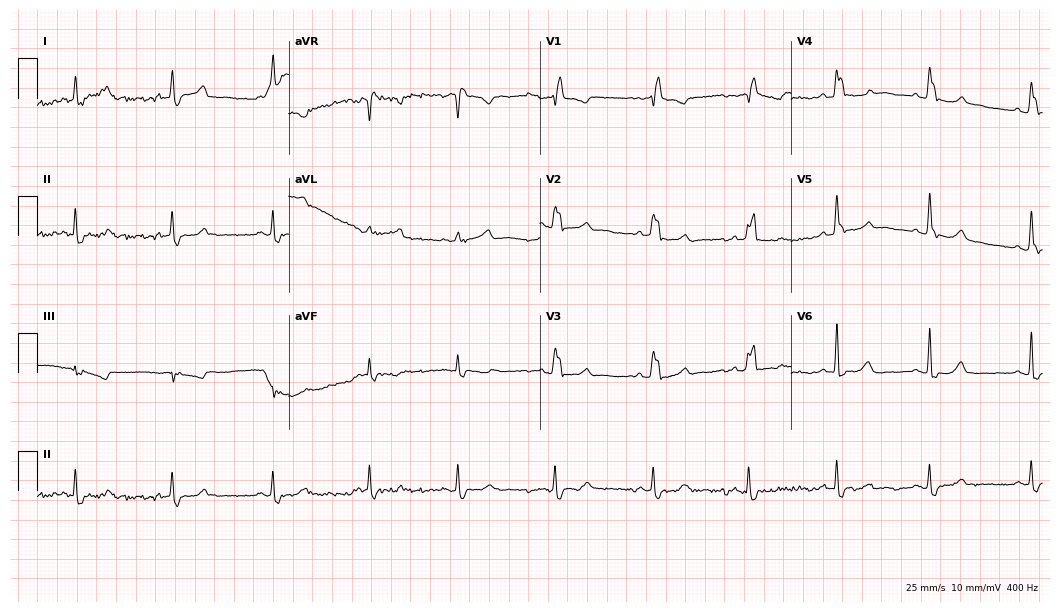
12-lead ECG from a 37-year-old female patient. Screened for six findings — first-degree AV block, right bundle branch block, left bundle branch block, sinus bradycardia, atrial fibrillation, sinus tachycardia — none is recorded. Other findings, if any, are not listed.